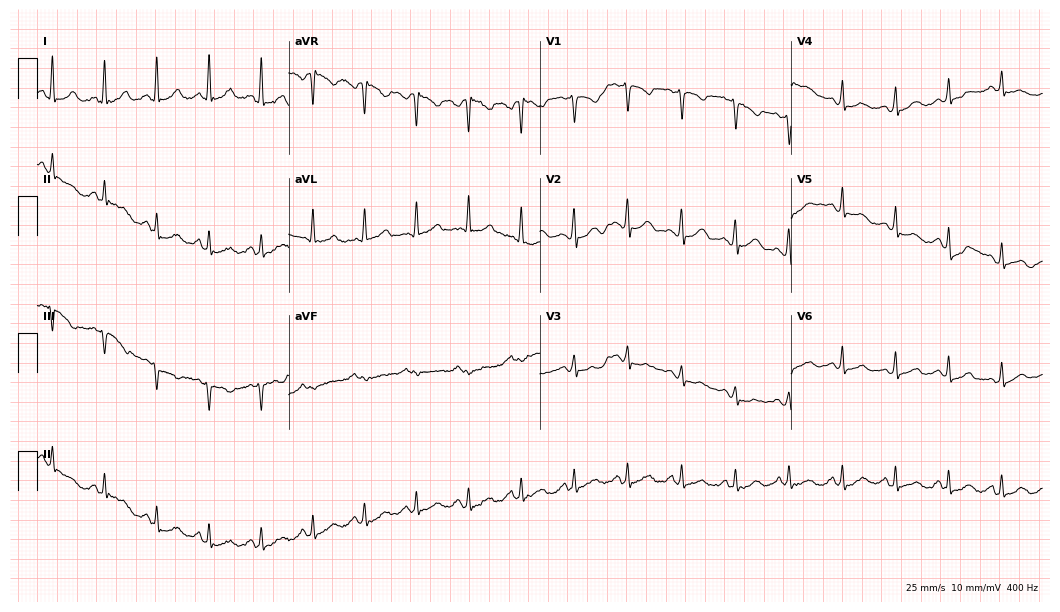
Electrocardiogram (10.2-second recording at 400 Hz), a female patient, 38 years old. Of the six screened findings (first-degree AV block, right bundle branch block, left bundle branch block, sinus bradycardia, atrial fibrillation, sinus tachycardia), none is recorded.